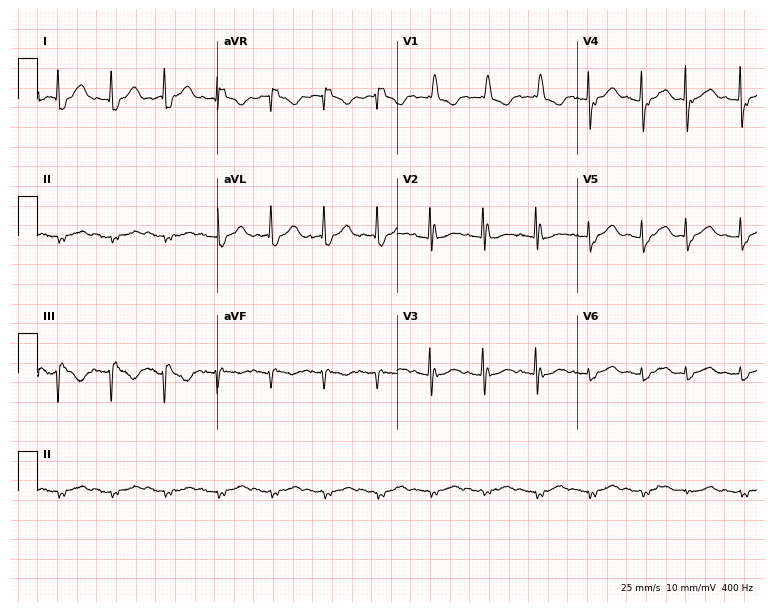
Standard 12-lead ECG recorded from an 83-year-old female patient (7.3-second recording at 400 Hz). The tracing shows right bundle branch block (RBBB), sinus tachycardia (a sinus rate of 100 beats per minute or more).